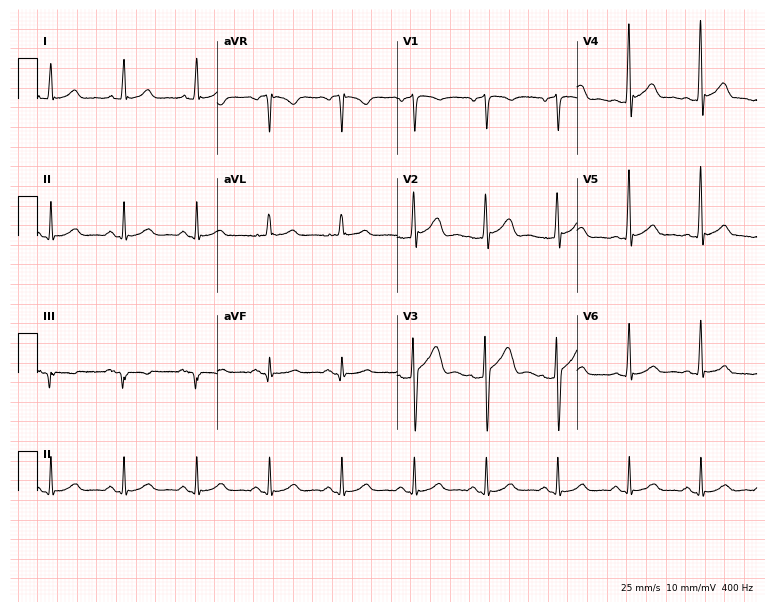
ECG (7.3-second recording at 400 Hz) — a 38-year-old man. Screened for six findings — first-degree AV block, right bundle branch block, left bundle branch block, sinus bradycardia, atrial fibrillation, sinus tachycardia — none is recorded. Only these six findings were labelled.